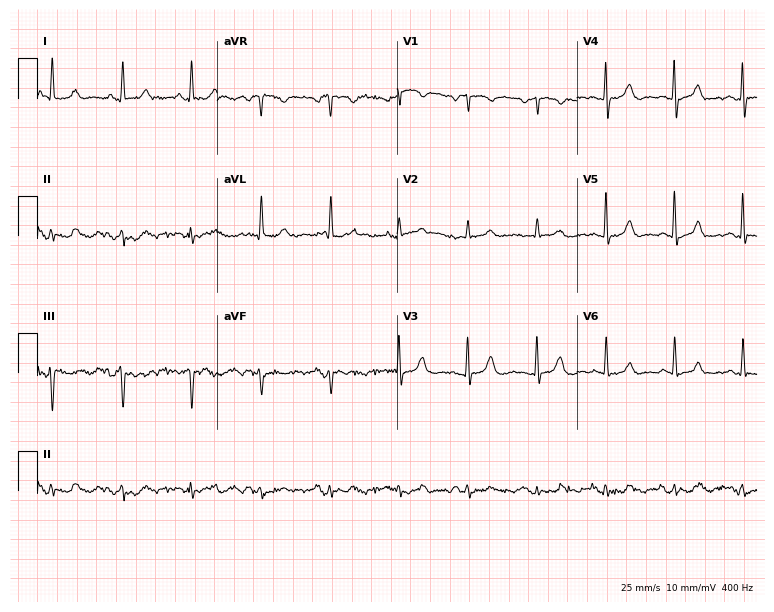
Standard 12-lead ECG recorded from an 81-year-old woman. Read as a normal ECG.